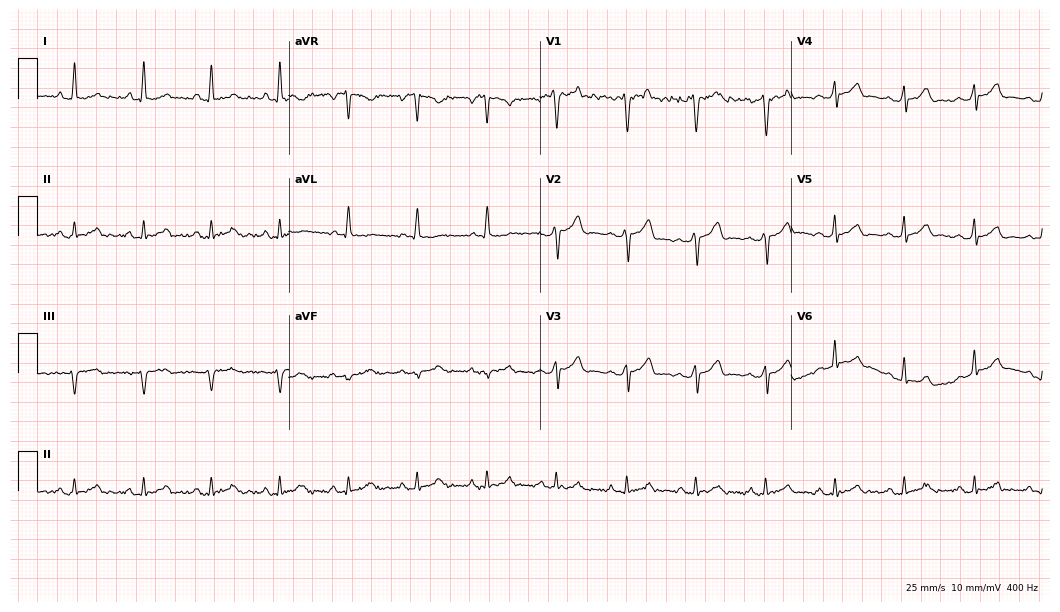
12-lead ECG (10.2-second recording at 400 Hz) from a 24-year-old male patient. Labelled as a normal ECG.